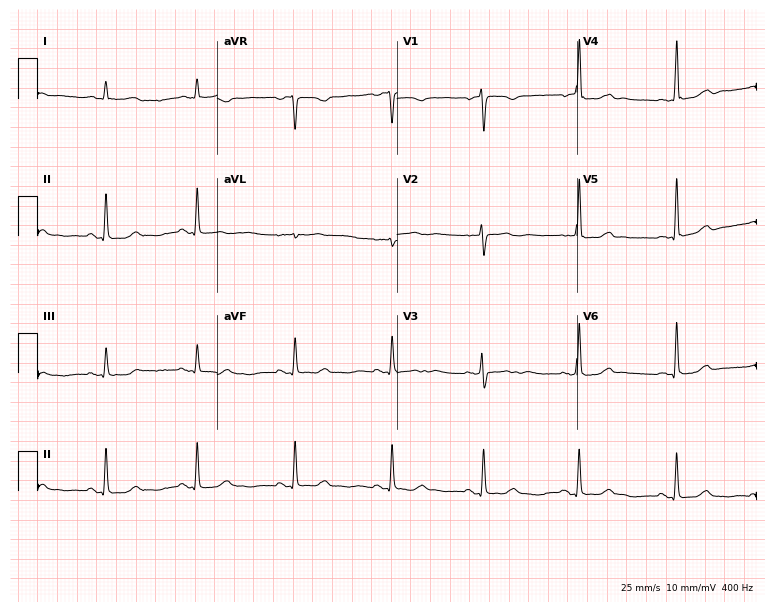
12-lead ECG from a man, 42 years old. No first-degree AV block, right bundle branch block, left bundle branch block, sinus bradycardia, atrial fibrillation or sinus tachycardia recorded for this tracing. Only these six findings were labelled.